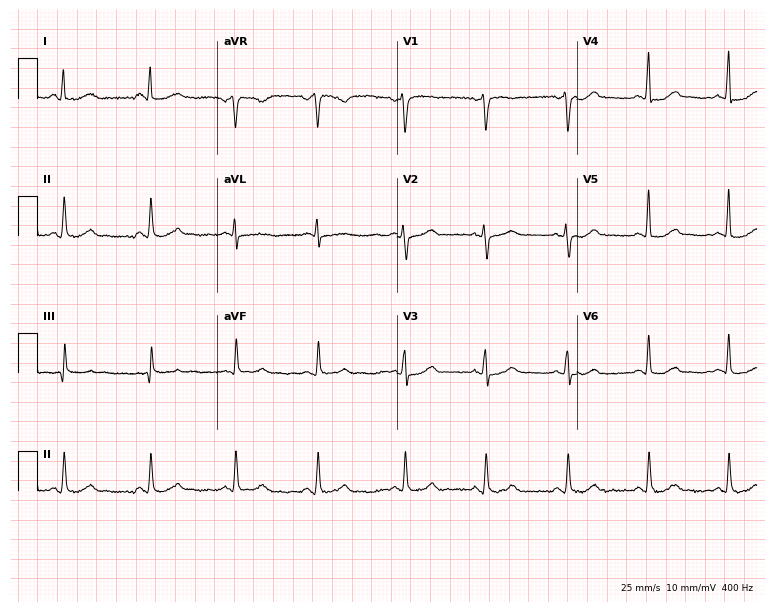
Electrocardiogram (7.3-second recording at 400 Hz), a female patient, 45 years old. Of the six screened findings (first-degree AV block, right bundle branch block, left bundle branch block, sinus bradycardia, atrial fibrillation, sinus tachycardia), none is recorded. Other findings, if any, are not listed.